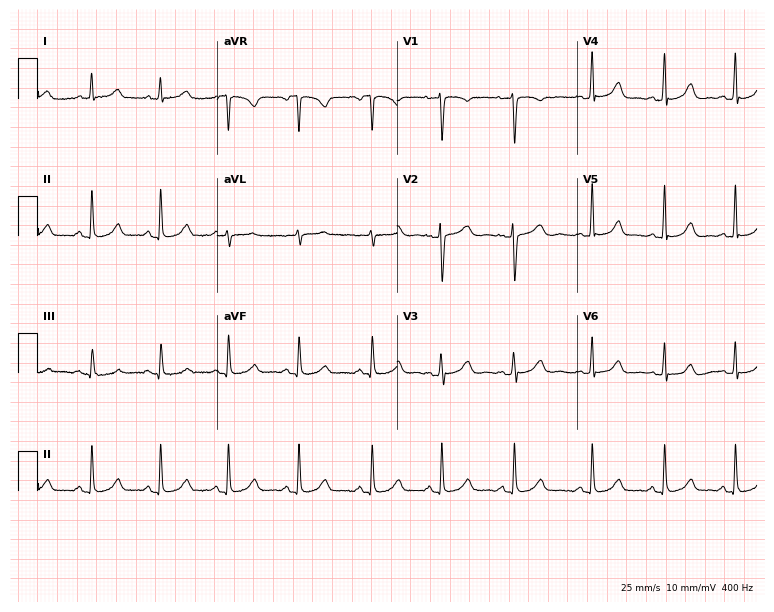
12-lead ECG from a 38-year-old woman. Labelled as a normal ECG.